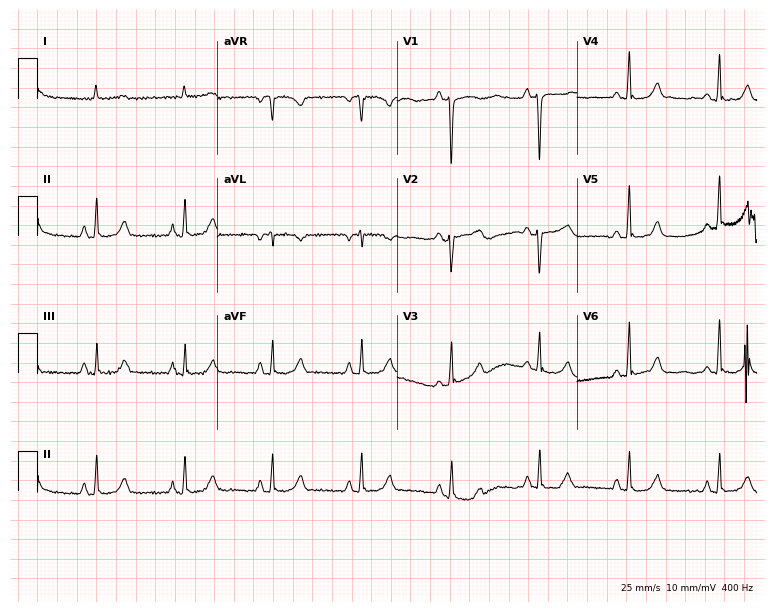
Standard 12-lead ECG recorded from a female, 84 years old (7.3-second recording at 400 Hz). None of these six findings is recorded: first-degree AV block, right bundle branch block (RBBB), left bundle branch block (LBBB), sinus bradycardia, atrial fibrillation (AF), sinus tachycardia.